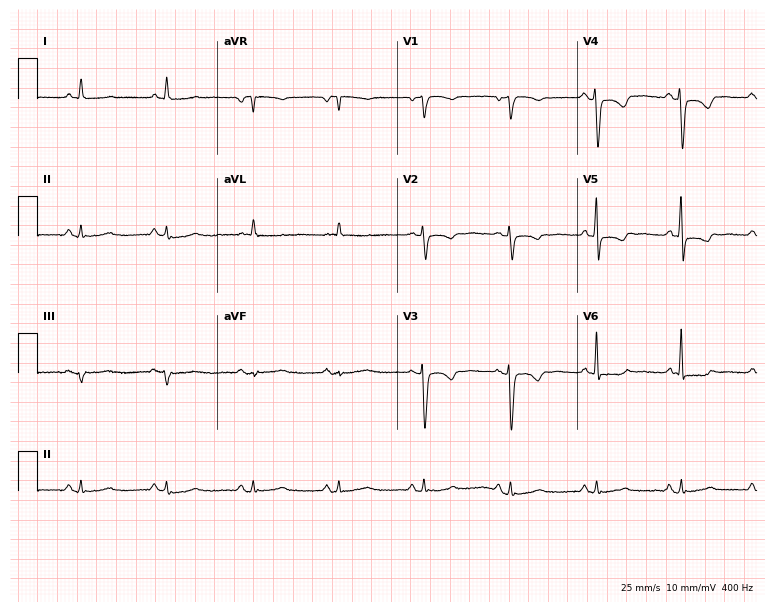
Standard 12-lead ECG recorded from a female patient, 61 years old (7.3-second recording at 400 Hz). None of these six findings is recorded: first-degree AV block, right bundle branch block, left bundle branch block, sinus bradycardia, atrial fibrillation, sinus tachycardia.